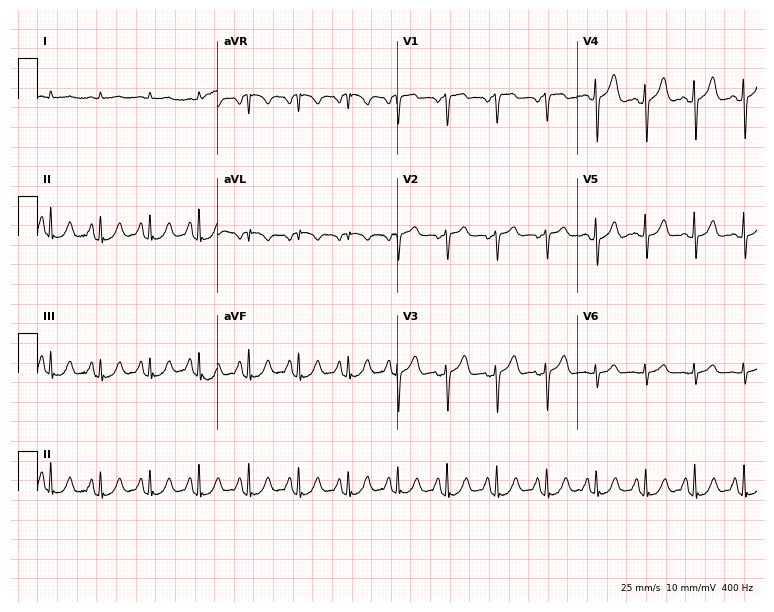
12-lead ECG from a 66-year-old man. Shows sinus tachycardia (a sinus rate of 100 beats per minute or more).